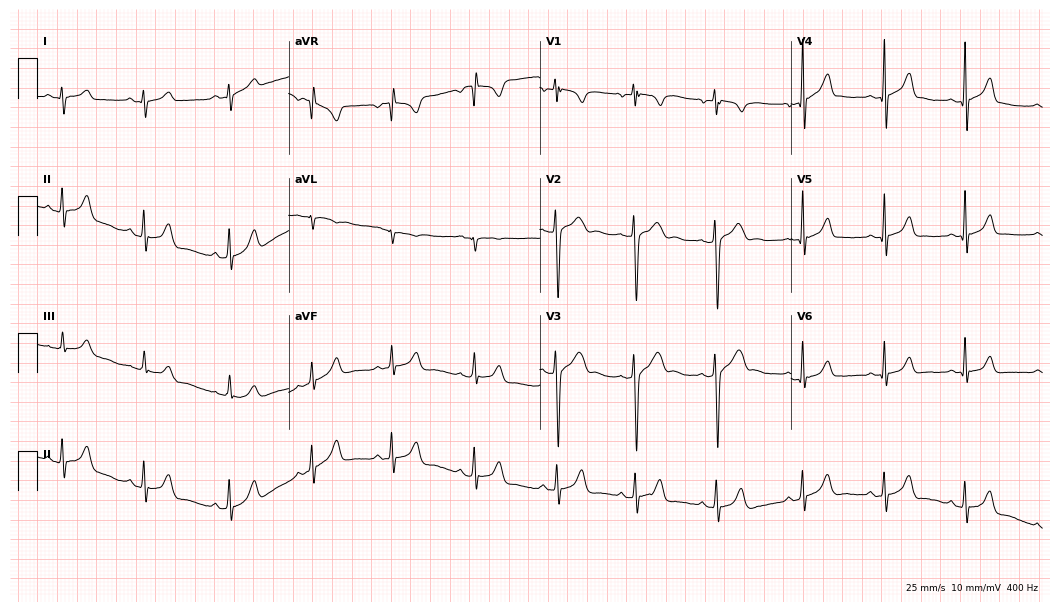
12-lead ECG from a male, 17 years old (10.2-second recording at 400 Hz). Recorded interpretation: within normal limits.